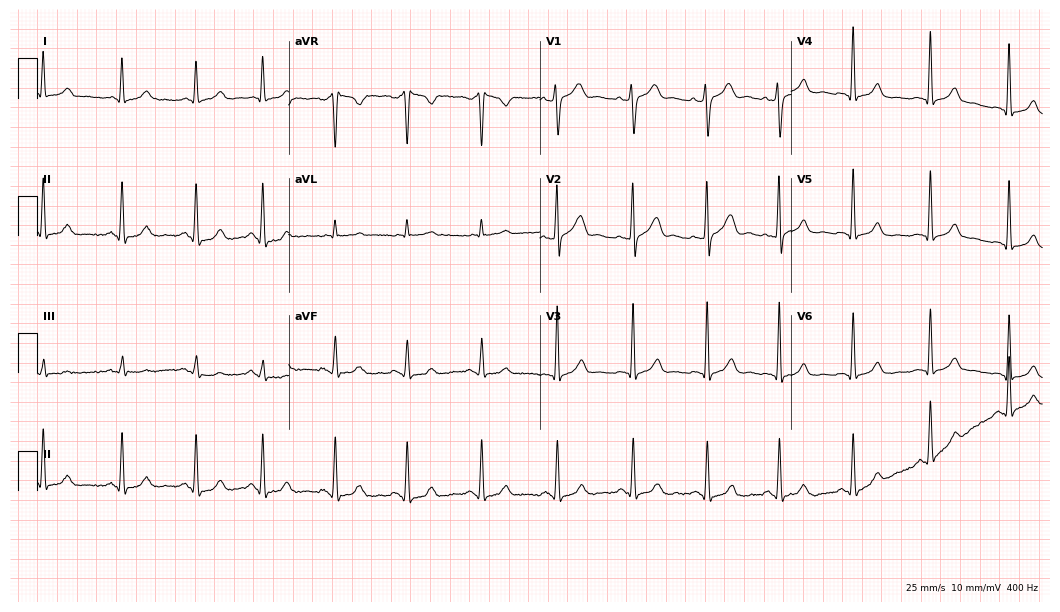
12-lead ECG from a male patient, 36 years old (10.2-second recording at 400 Hz). Recorded interpretation: within normal limits.